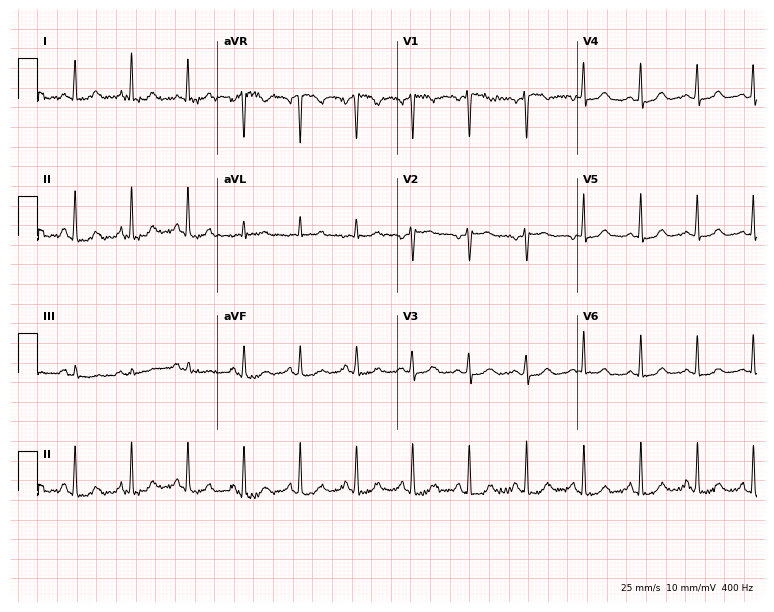
12-lead ECG (7.3-second recording at 400 Hz) from a female, 42 years old. Findings include sinus tachycardia (a sinus rate of 100 beats per minute or more).